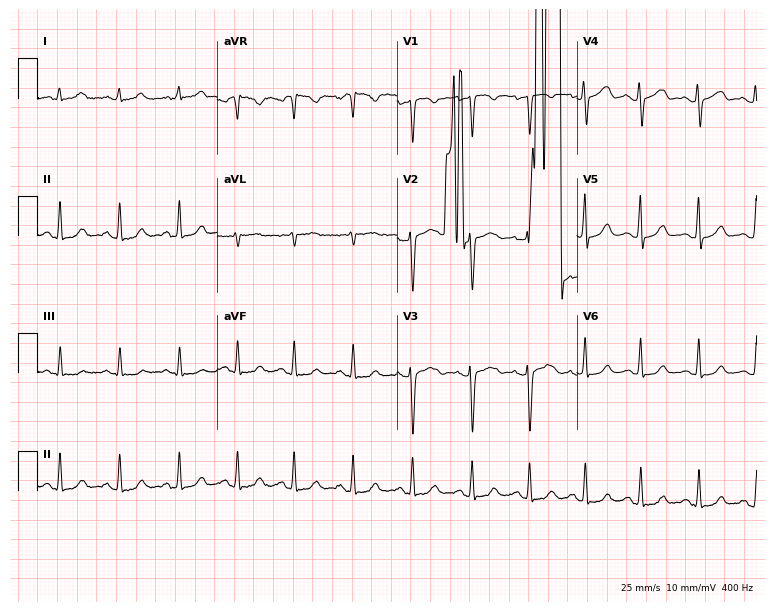
Standard 12-lead ECG recorded from a woman, 27 years old (7.3-second recording at 400 Hz). None of these six findings is recorded: first-degree AV block, right bundle branch block, left bundle branch block, sinus bradycardia, atrial fibrillation, sinus tachycardia. Other findings, if any, are not listed.